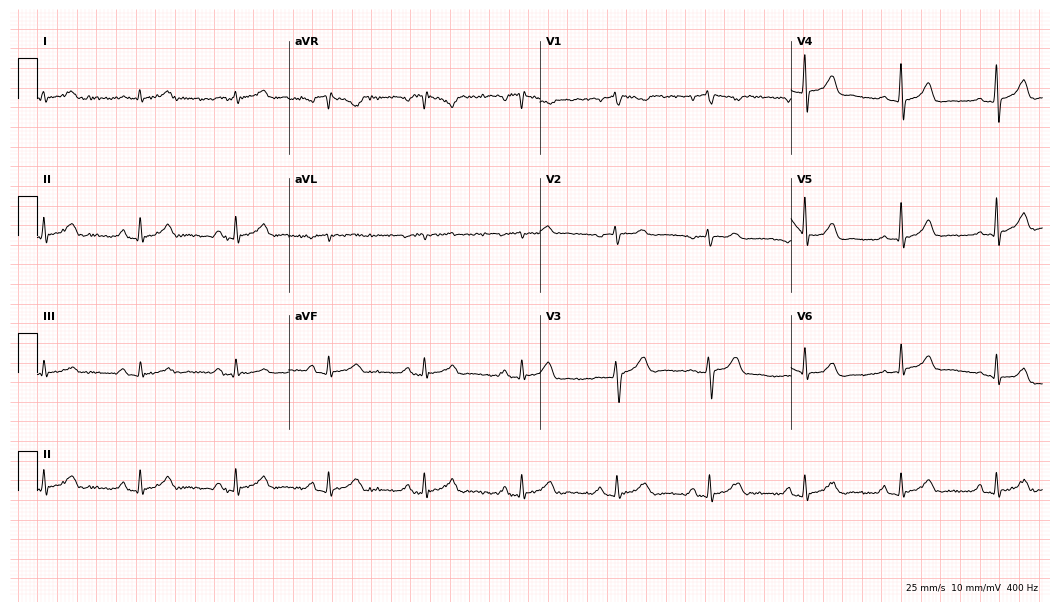
Resting 12-lead electrocardiogram (10.2-second recording at 400 Hz). Patient: a man, 32 years old. Read as a normal ECG.